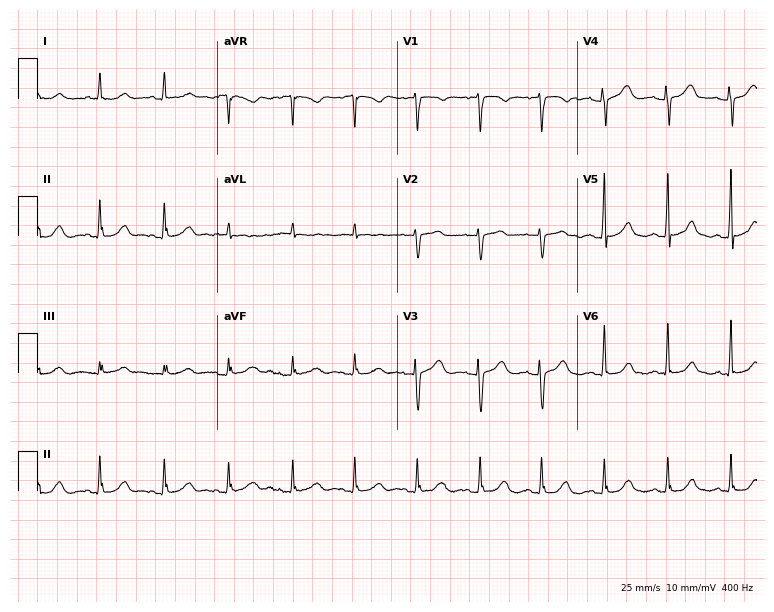
Standard 12-lead ECG recorded from a woman, 75 years old (7.3-second recording at 400 Hz). Read as a normal ECG.